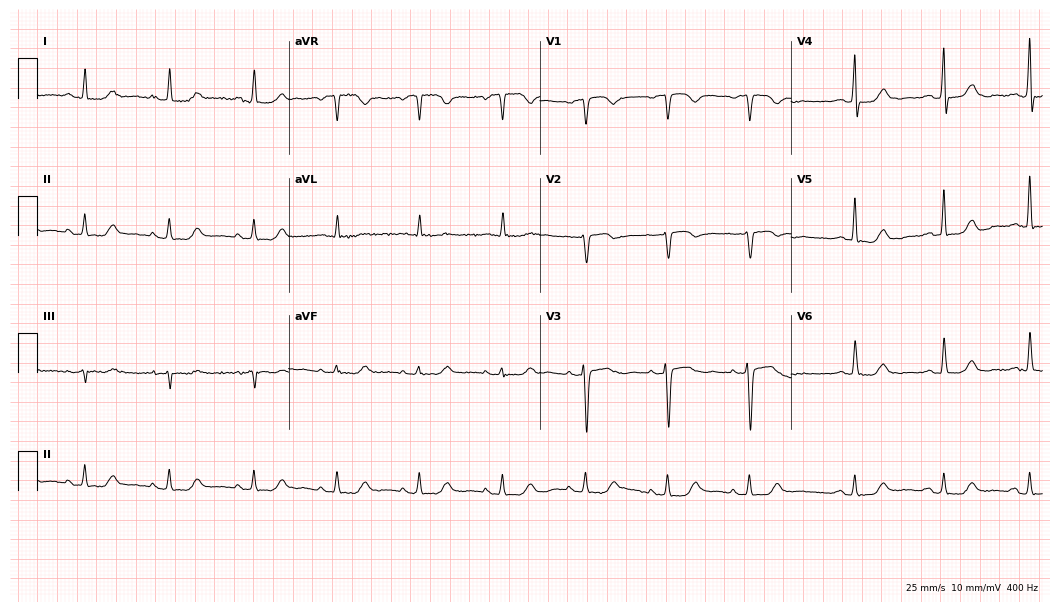
12-lead ECG from an 86-year-old woman. Recorded interpretation: within normal limits.